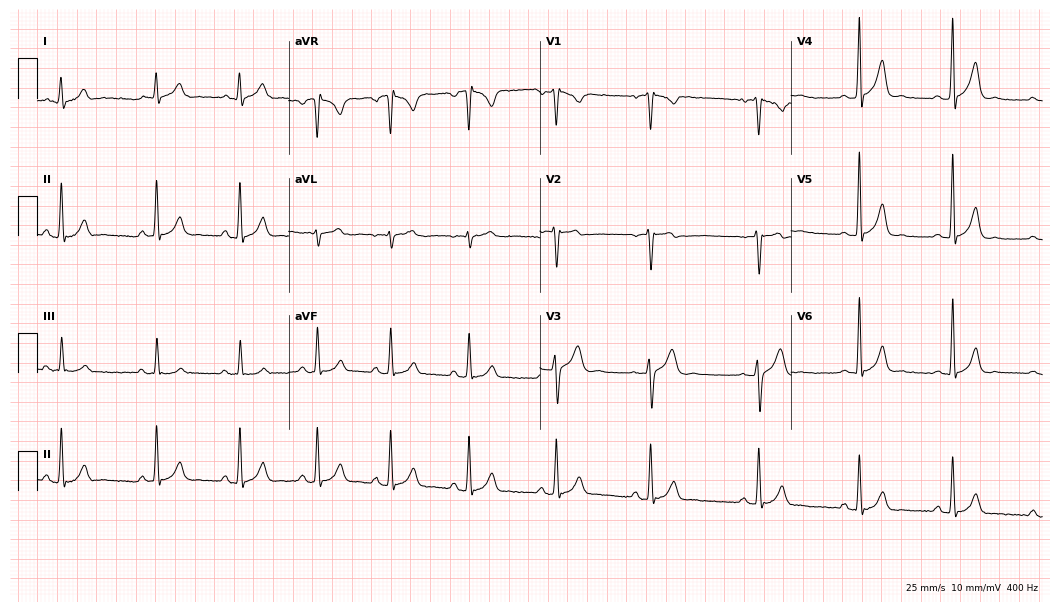
Resting 12-lead electrocardiogram (10.2-second recording at 400 Hz). Patient: a man, 28 years old. None of these six findings is recorded: first-degree AV block, right bundle branch block, left bundle branch block, sinus bradycardia, atrial fibrillation, sinus tachycardia.